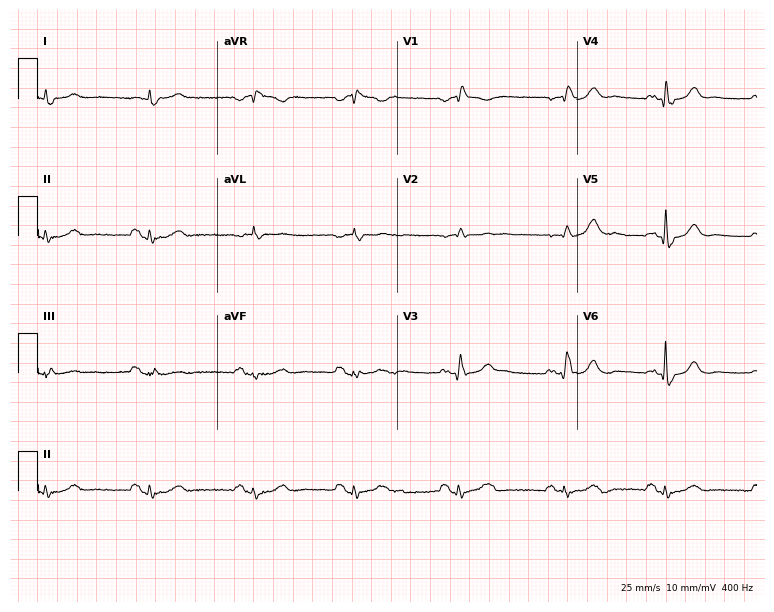
12-lead ECG from a male, 81 years old. Findings include right bundle branch block.